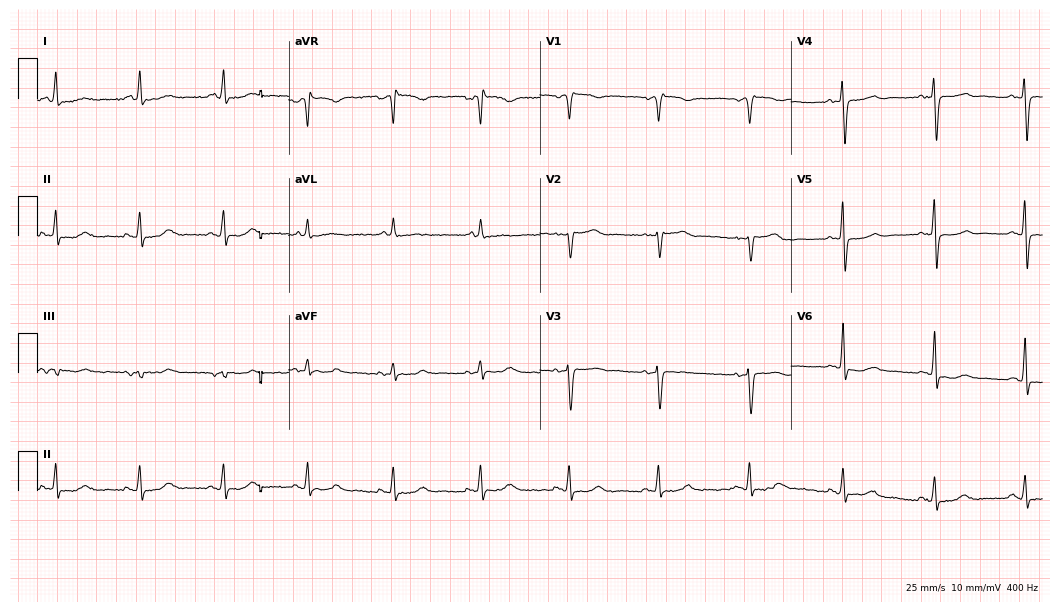
12-lead ECG (10.2-second recording at 400 Hz) from a 63-year-old woman. Labelled as a normal ECG.